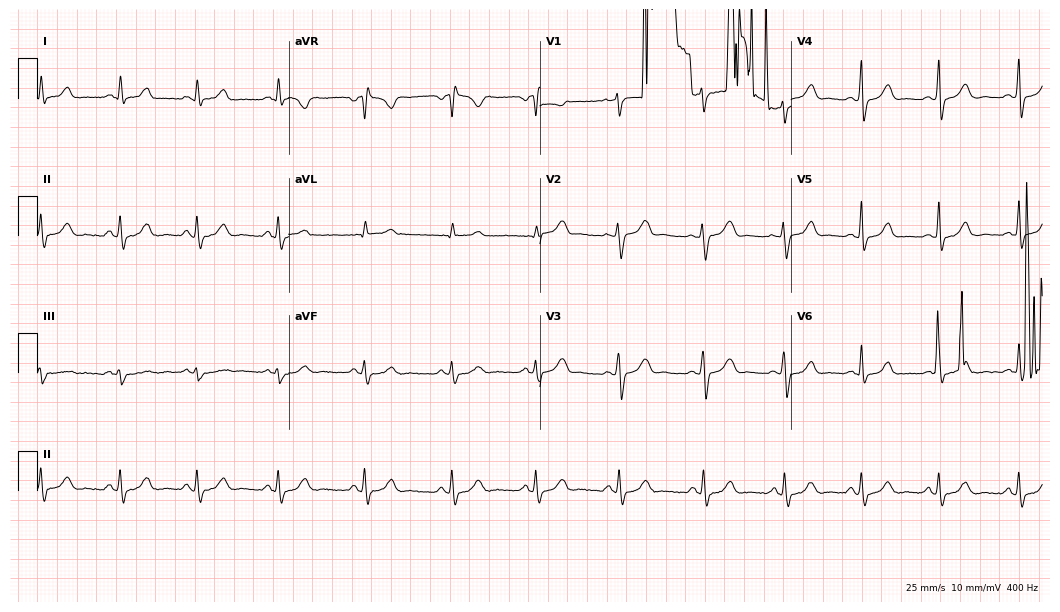
12-lead ECG from a woman, 35 years old (10.2-second recording at 400 Hz). No first-degree AV block, right bundle branch block (RBBB), left bundle branch block (LBBB), sinus bradycardia, atrial fibrillation (AF) or sinus tachycardia recorded for this tracing.